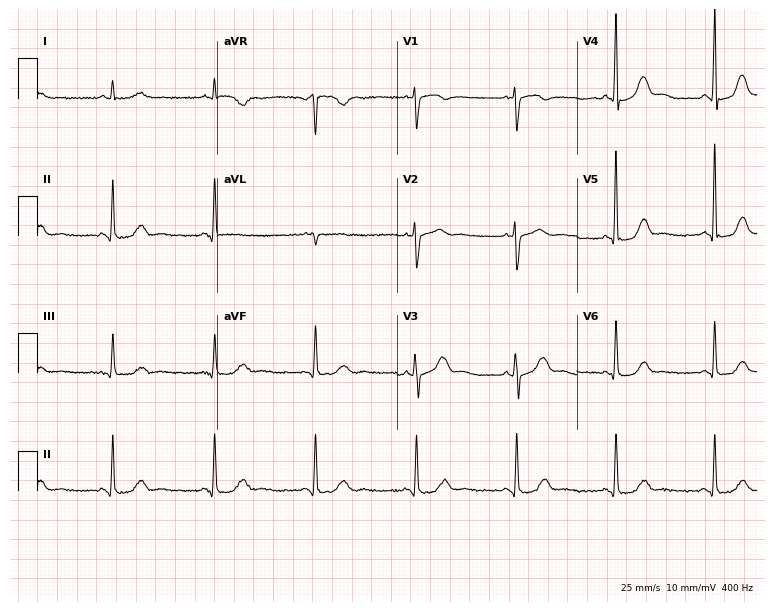
Electrocardiogram, a female, 75 years old. Overall reading on record: normal ECG.